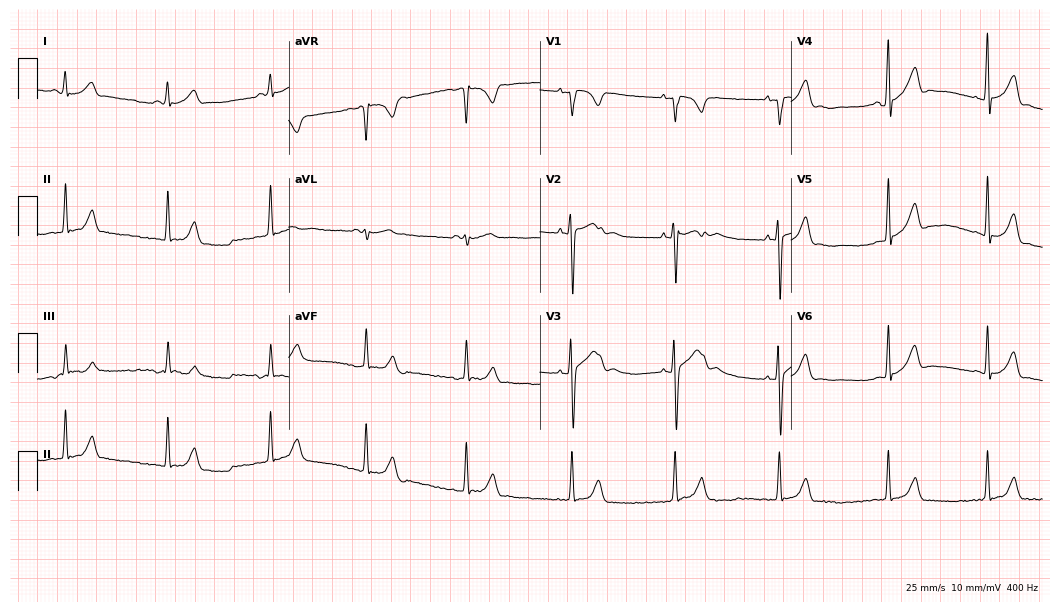
Standard 12-lead ECG recorded from a 23-year-old man. Read as a normal ECG.